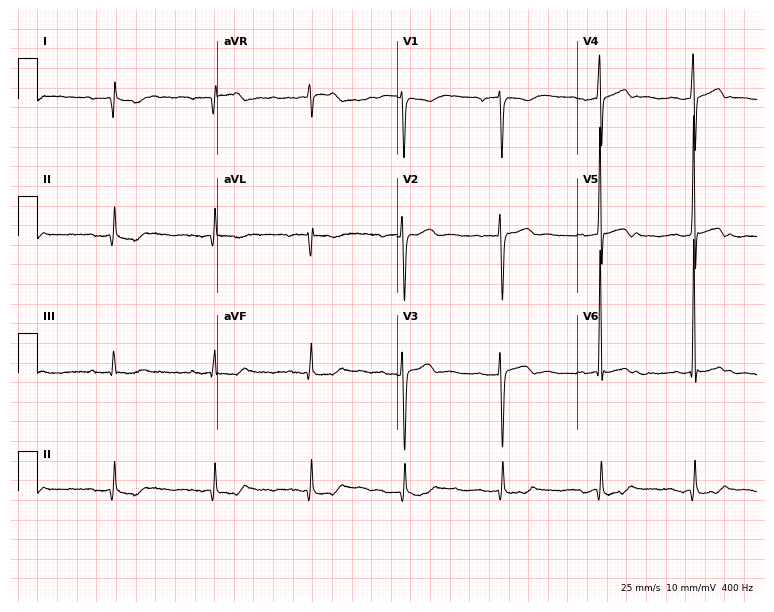
Electrocardiogram, a 70-year-old female patient. Of the six screened findings (first-degree AV block, right bundle branch block, left bundle branch block, sinus bradycardia, atrial fibrillation, sinus tachycardia), none is recorded.